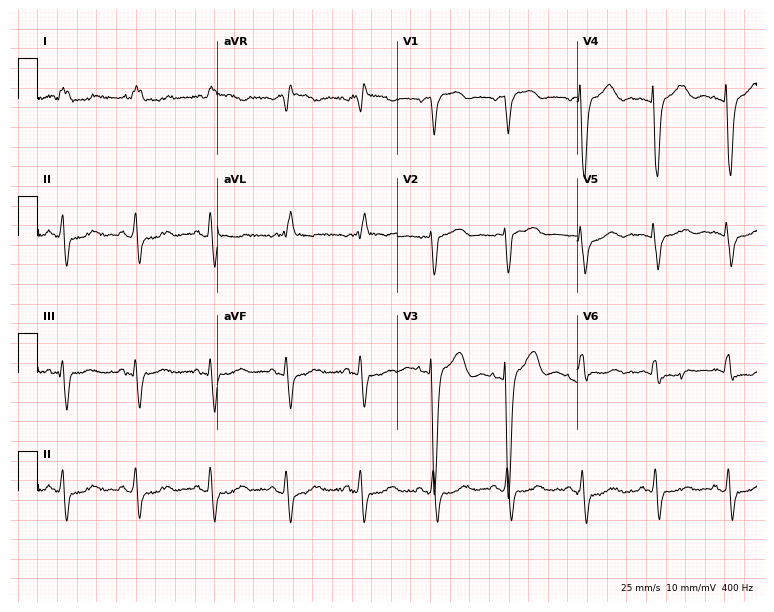
12-lead ECG from an 82-year-old woman (7.3-second recording at 400 Hz). No first-degree AV block, right bundle branch block, left bundle branch block, sinus bradycardia, atrial fibrillation or sinus tachycardia recorded for this tracing. Only these six findings were labelled.